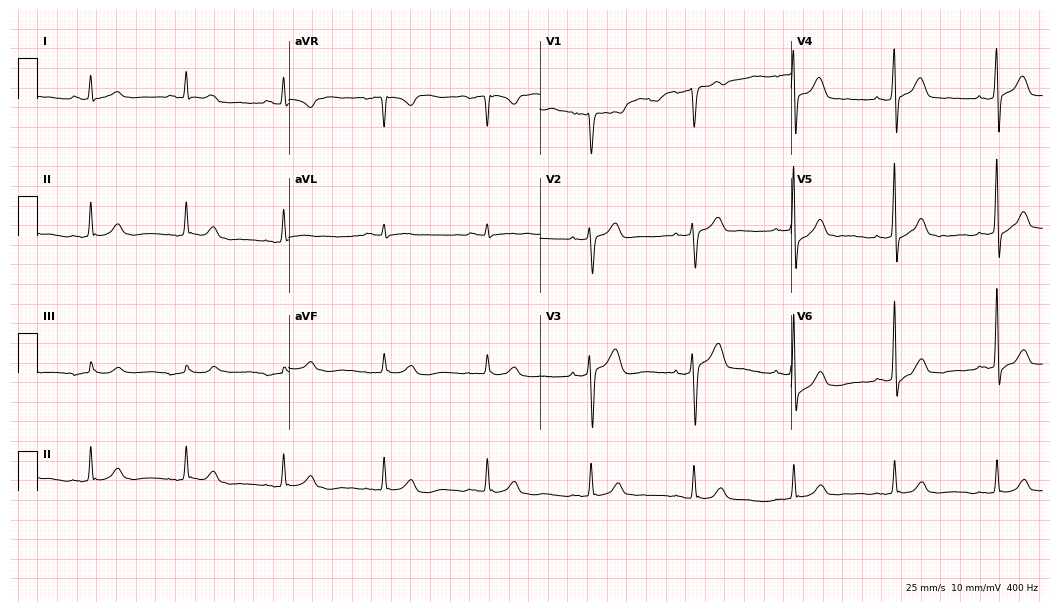
Electrocardiogram, a male patient, 52 years old. Overall reading on record: normal ECG.